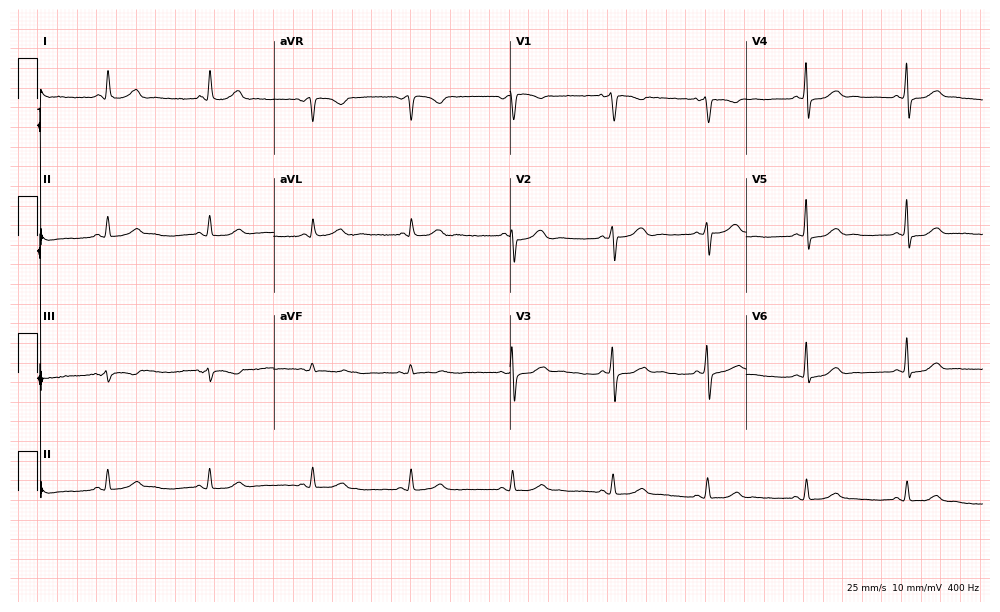
12-lead ECG from a 34-year-old female. Labelled as a normal ECG.